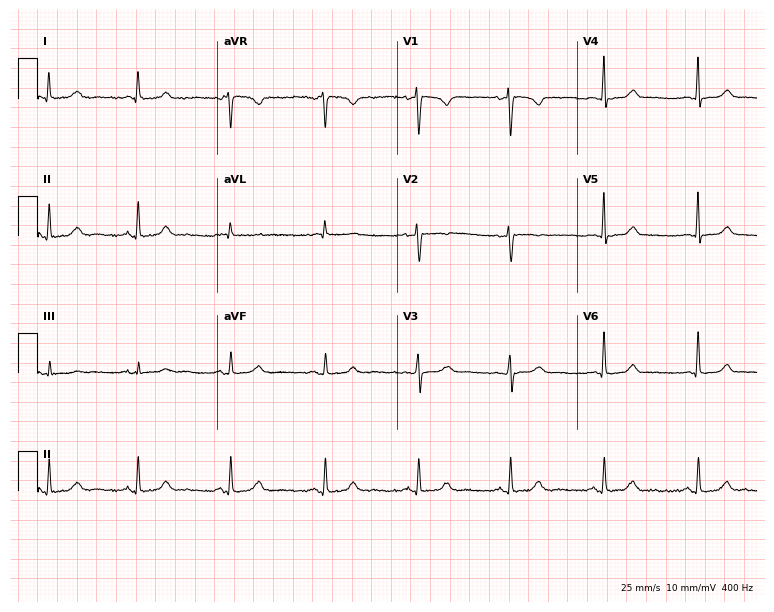
12-lead ECG (7.3-second recording at 400 Hz) from a female patient, 41 years old. Labelled as a normal ECG.